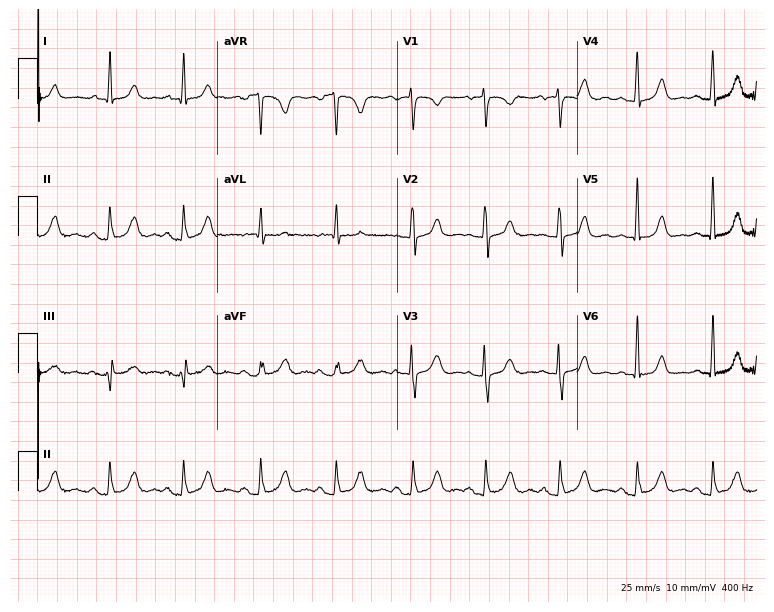
12-lead ECG from a 60-year-old female patient (7.3-second recording at 400 Hz). Recorded interpretation: within normal limits.